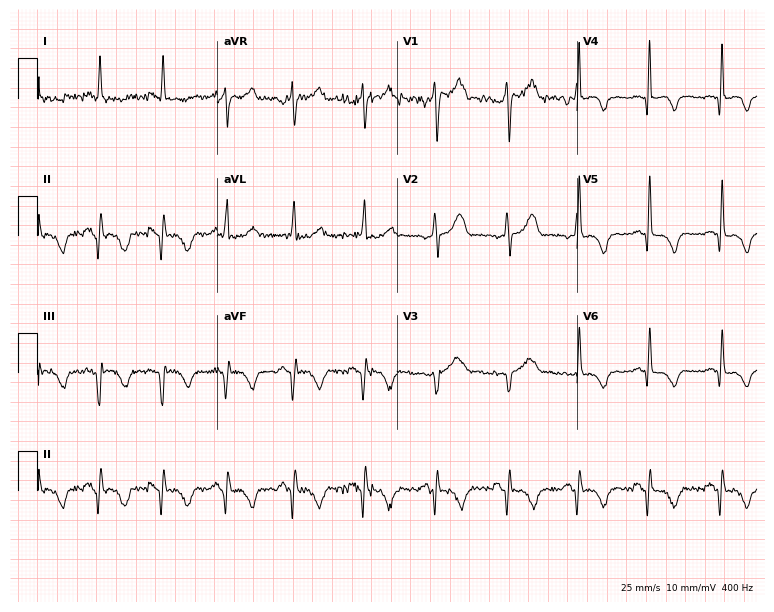
12-lead ECG (7.3-second recording at 400 Hz) from a 45-year-old man. Screened for six findings — first-degree AV block, right bundle branch block, left bundle branch block, sinus bradycardia, atrial fibrillation, sinus tachycardia — none is recorded. Only these six findings were labelled.